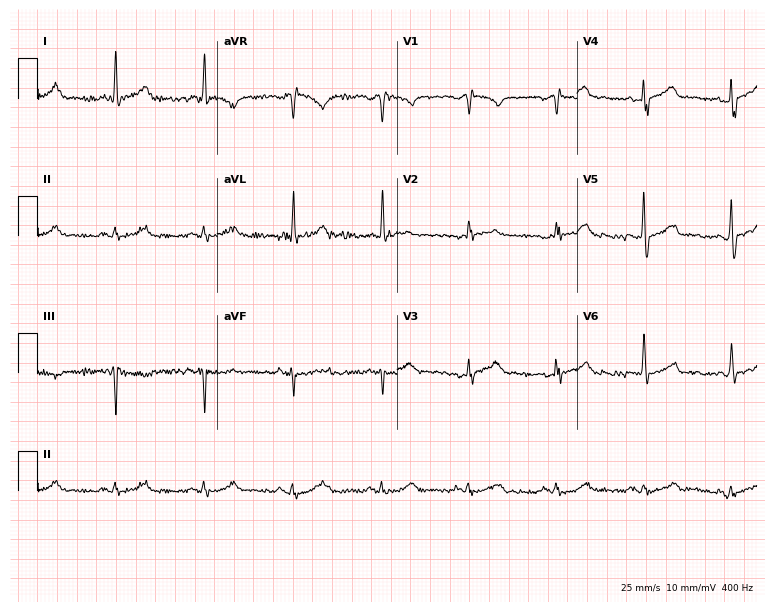
12-lead ECG (7.3-second recording at 400 Hz) from a 70-year-old male. Labelled as a normal ECG.